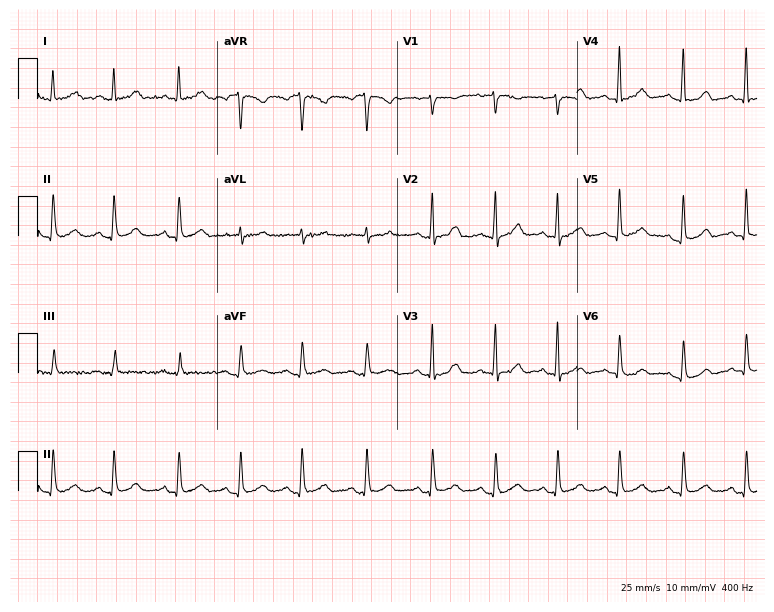
Resting 12-lead electrocardiogram (7.3-second recording at 400 Hz). Patient: a female, 50 years old. Read as a normal ECG.